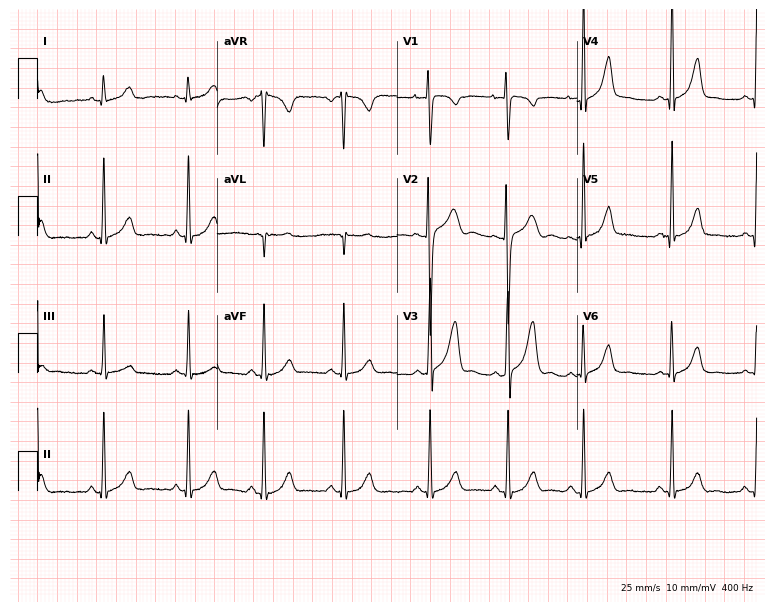
ECG — a female, 17 years old. Labelled as a normal ECG.